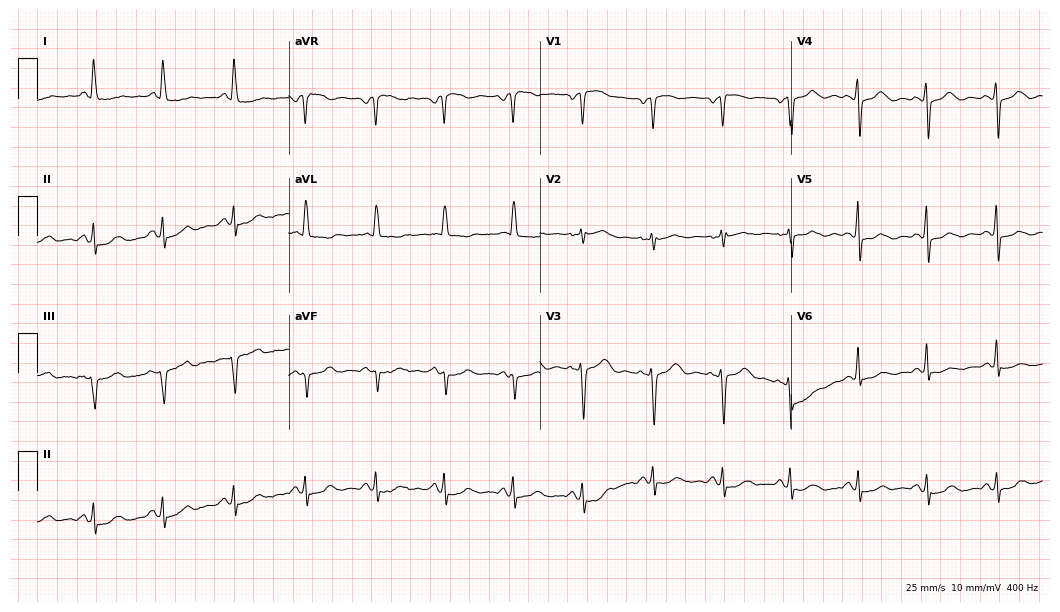
Electrocardiogram (10.2-second recording at 400 Hz), a 63-year-old female patient. Of the six screened findings (first-degree AV block, right bundle branch block, left bundle branch block, sinus bradycardia, atrial fibrillation, sinus tachycardia), none is recorded. Findings outside these six are not listed.